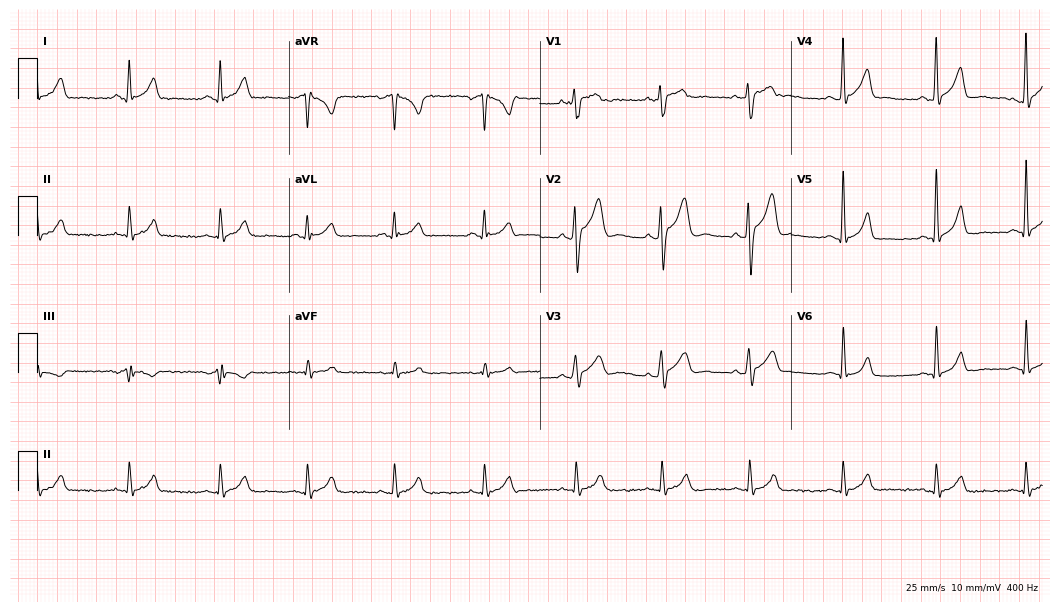
Electrocardiogram, a 25-year-old woman. Overall reading on record: normal ECG.